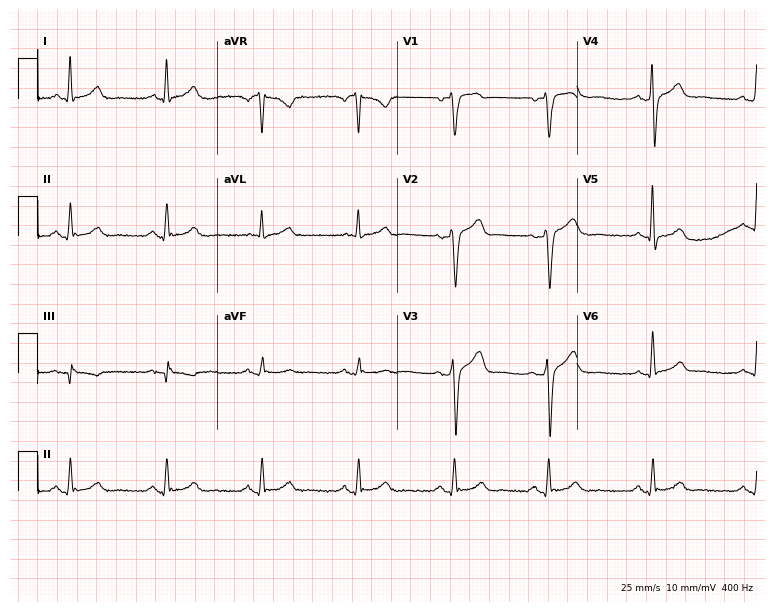
Electrocardiogram (7.3-second recording at 400 Hz), a 53-year-old male. Of the six screened findings (first-degree AV block, right bundle branch block, left bundle branch block, sinus bradycardia, atrial fibrillation, sinus tachycardia), none is recorded. Other findings, if any, are not listed.